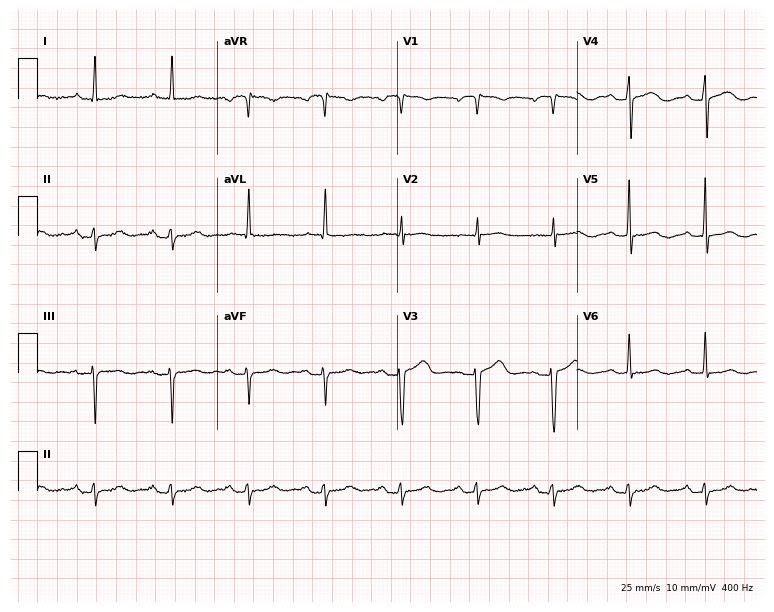
ECG — a 55-year-old female patient. Screened for six findings — first-degree AV block, right bundle branch block, left bundle branch block, sinus bradycardia, atrial fibrillation, sinus tachycardia — none is recorded. Findings outside these six are not listed.